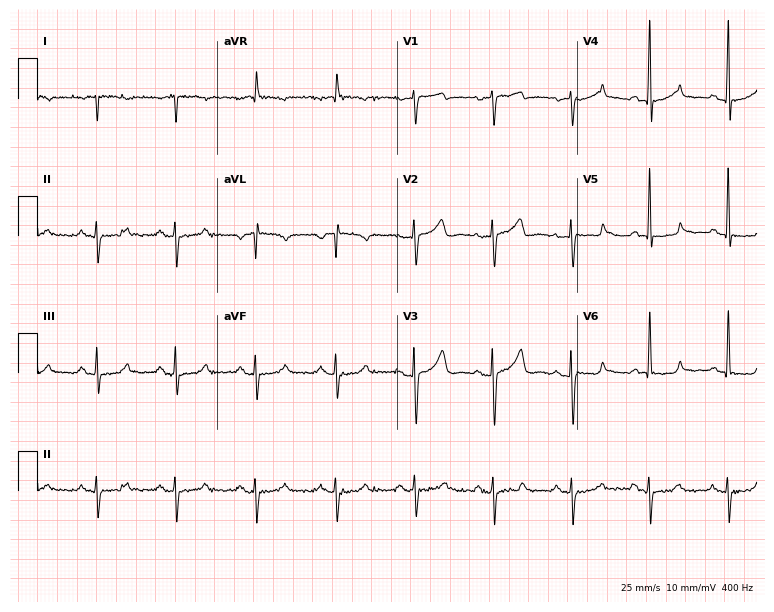
Electrocardiogram, a female, 75 years old. Of the six screened findings (first-degree AV block, right bundle branch block (RBBB), left bundle branch block (LBBB), sinus bradycardia, atrial fibrillation (AF), sinus tachycardia), none is recorded. Only these six findings were labelled.